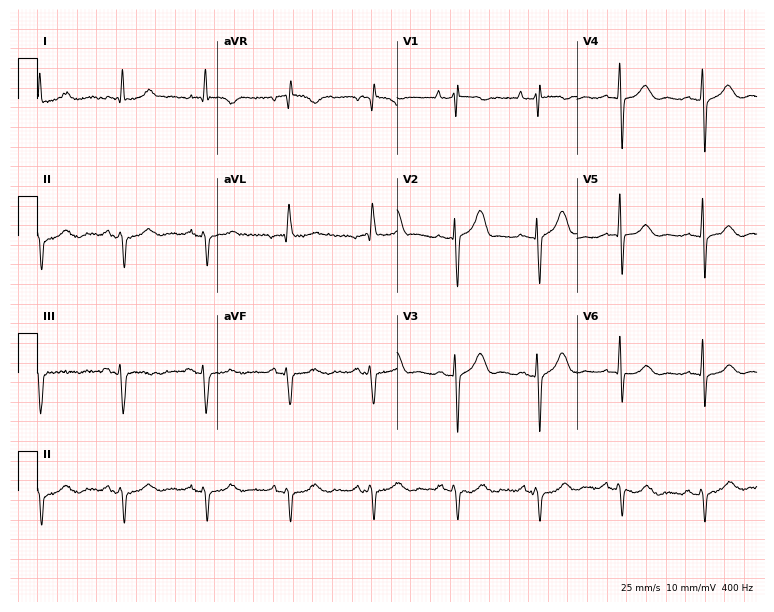
12-lead ECG from a 74-year-old woman. No first-degree AV block, right bundle branch block (RBBB), left bundle branch block (LBBB), sinus bradycardia, atrial fibrillation (AF) or sinus tachycardia recorded for this tracing.